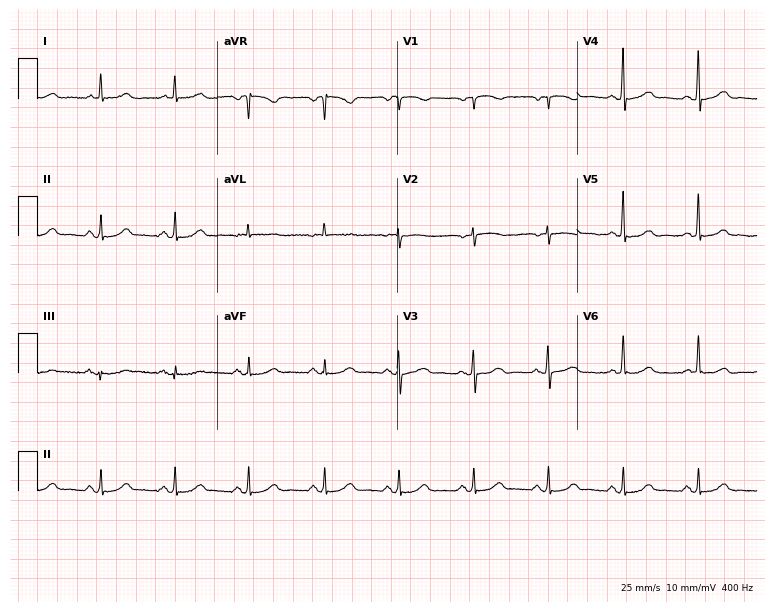
12-lead ECG from a 72-year-old female patient (7.3-second recording at 400 Hz). Recorded interpretation: within normal limits.